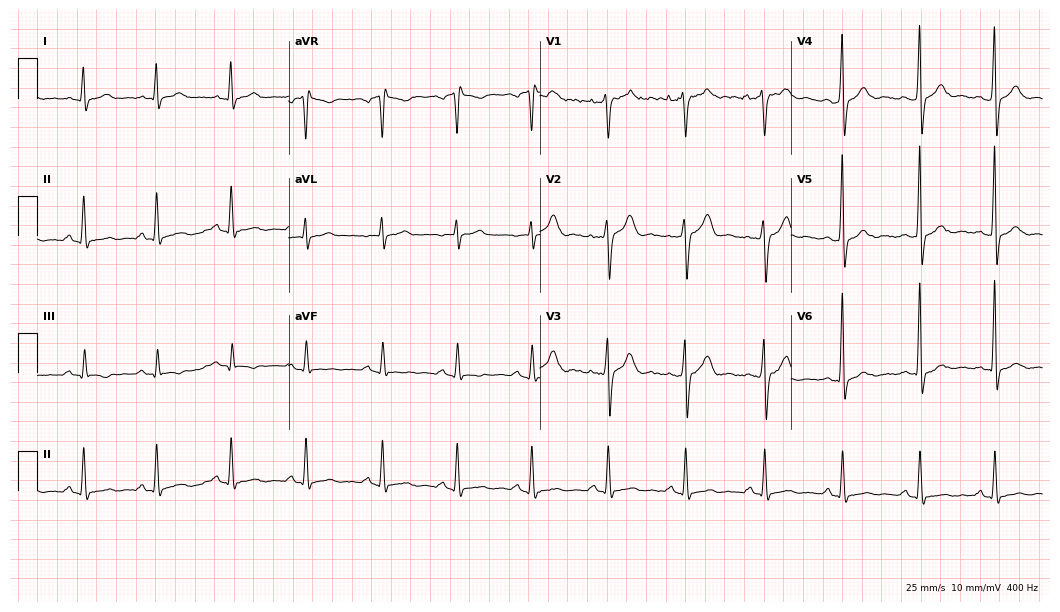
12-lead ECG from a male patient, 30 years old. No first-degree AV block, right bundle branch block, left bundle branch block, sinus bradycardia, atrial fibrillation or sinus tachycardia recorded for this tracing.